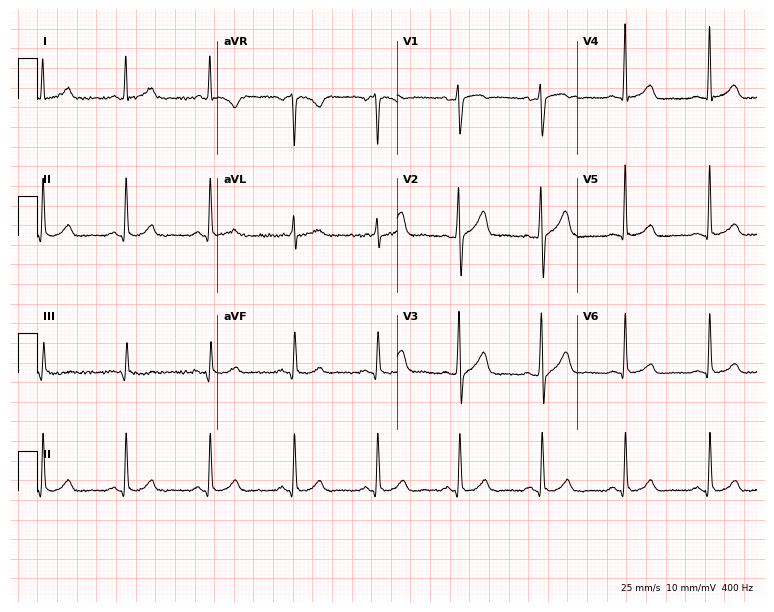
12-lead ECG (7.3-second recording at 400 Hz) from a man, 50 years old. Screened for six findings — first-degree AV block, right bundle branch block, left bundle branch block, sinus bradycardia, atrial fibrillation, sinus tachycardia — none is recorded.